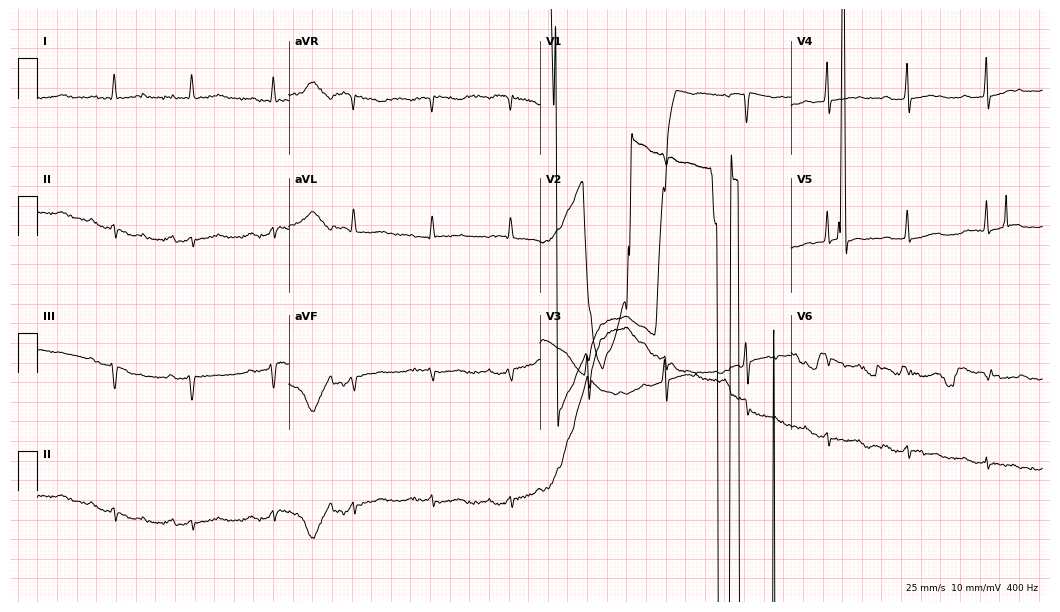
12-lead ECG from a female patient, 77 years old. No first-degree AV block, right bundle branch block, left bundle branch block, sinus bradycardia, atrial fibrillation or sinus tachycardia recorded for this tracing. Other findings, if any, are not listed.